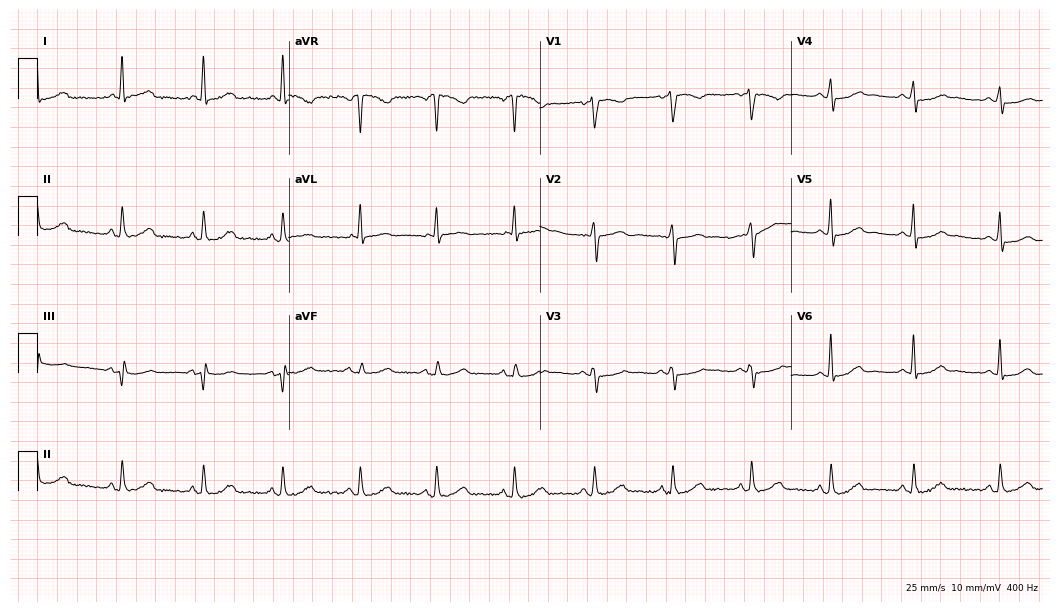
12-lead ECG from a 58-year-old female patient (10.2-second recording at 400 Hz). Recorded interpretation: within normal limits.